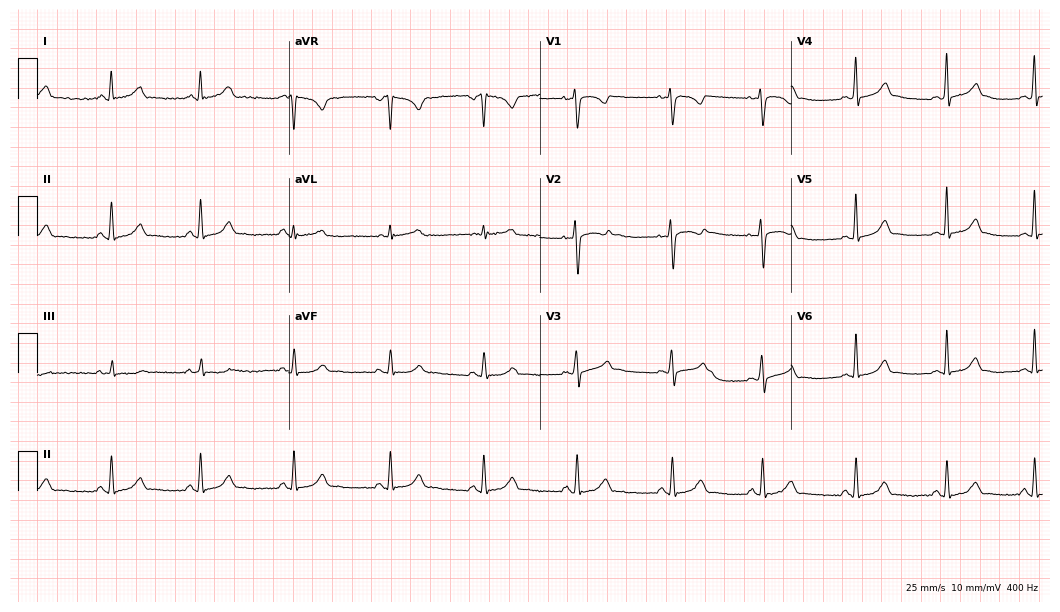
ECG — a 27-year-old female patient. Screened for six findings — first-degree AV block, right bundle branch block, left bundle branch block, sinus bradycardia, atrial fibrillation, sinus tachycardia — none is recorded.